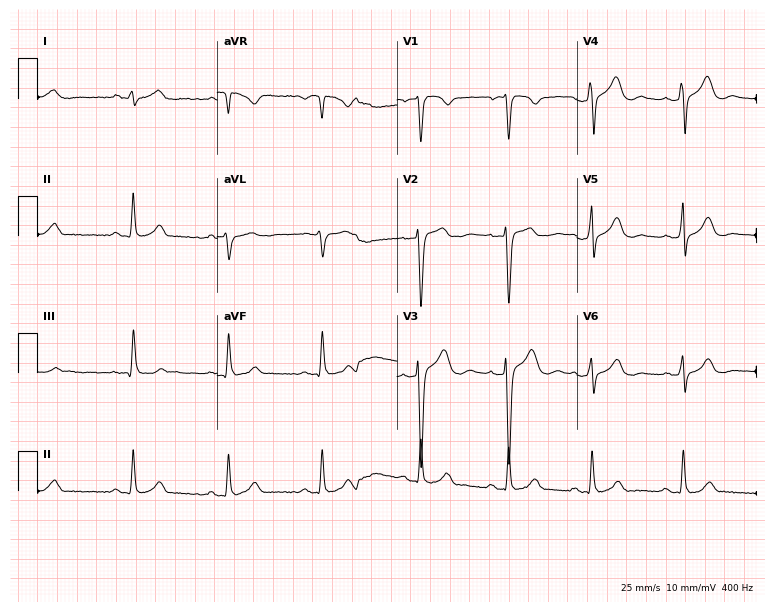
ECG (7.3-second recording at 400 Hz) — a 22-year-old male patient. Screened for six findings — first-degree AV block, right bundle branch block, left bundle branch block, sinus bradycardia, atrial fibrillation, sinus tachycardia — none is recorded. Other findings, if any, are not listed.